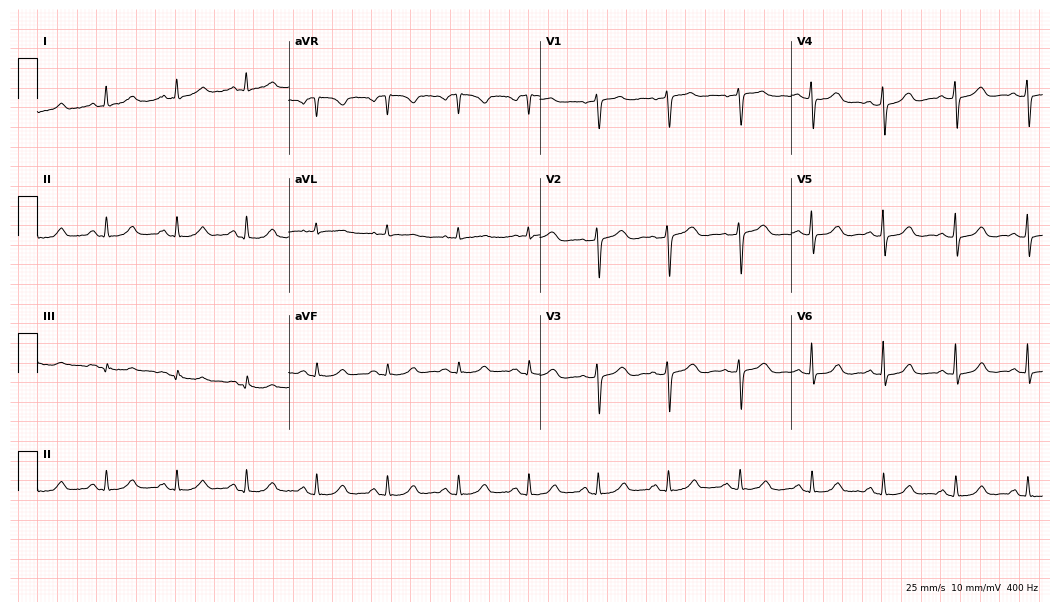
Standard 12-lead ECG recorded from a female patient, 70 years old (10.2-second recording at 400 Hz). Read as a normal ECG.